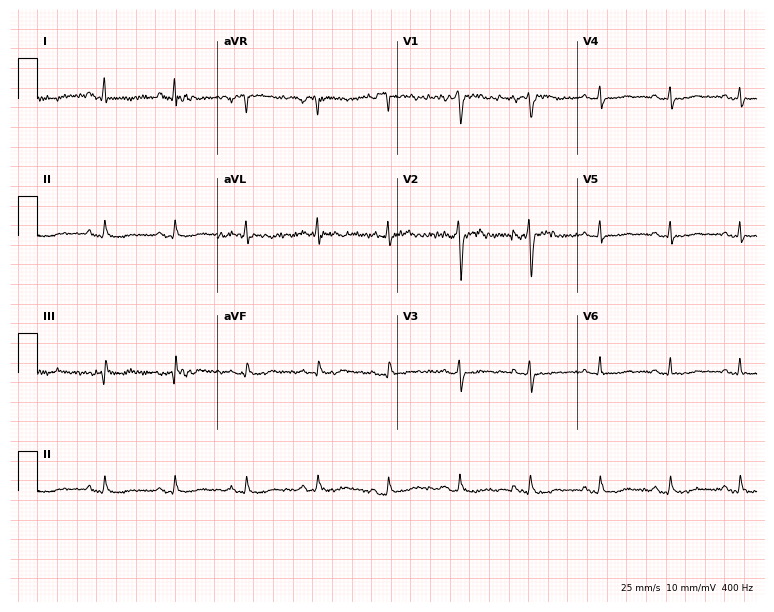
Electrocardiogram (7.3-second recording at 400 Hz), a female, 76 years old. Of the six screened findings (first-degree AV block, right bundle branch block, left bundle branch block, sinus bradycardia, atrial fibrillation, sinus tachycardia), none is recorded. Only these six findings were labelled.